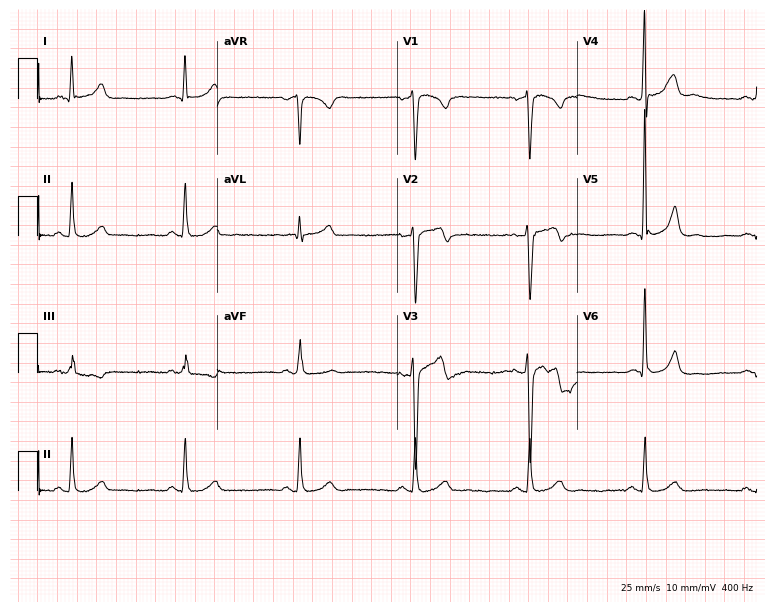
Electrocardiogram, a 56-year-old male. Of the six screened findings (first-degree AV block, right bundle branch block (RBBB), left bundle branch block (LBBB), sinus bradycardia, atrial fibrillation (AF), sinus tachycardia), none is recorded. Findings outside these six are not listed.